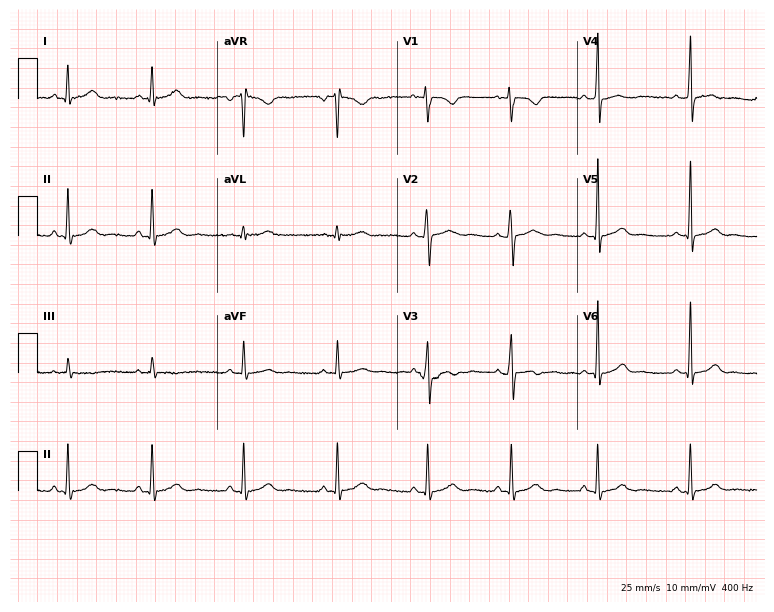
12-lead ECG (7.3-second recording at 400 Hz) from a female patient, 22 years old. Labelled as a normal ECG.